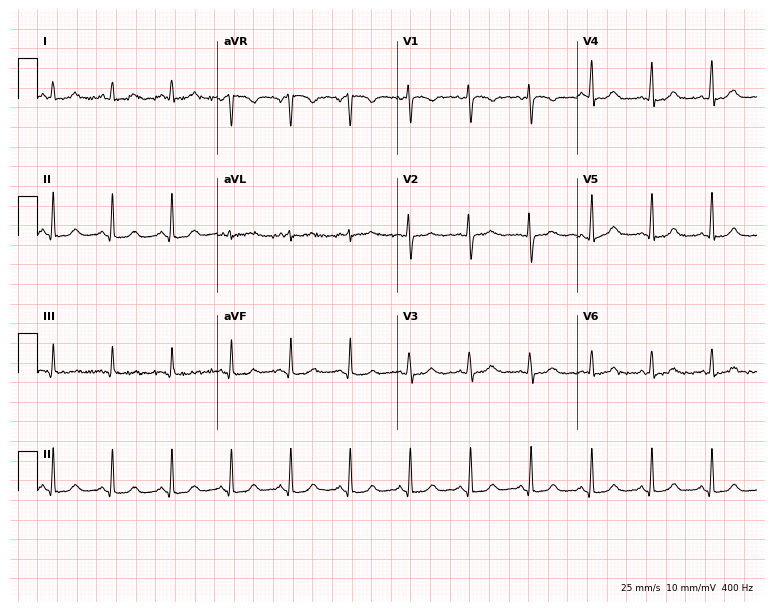
12-lead ECG (7.3-second recording at 400 Hz) from a 34-year-old female patient. Screened for six findings — first-degree AV block, right bundle branch block (RBBB), left bundle branch block (LBBB), sinus bradycardia, atrial fibrillation (AF), sinus tachycardia — none is recorded.